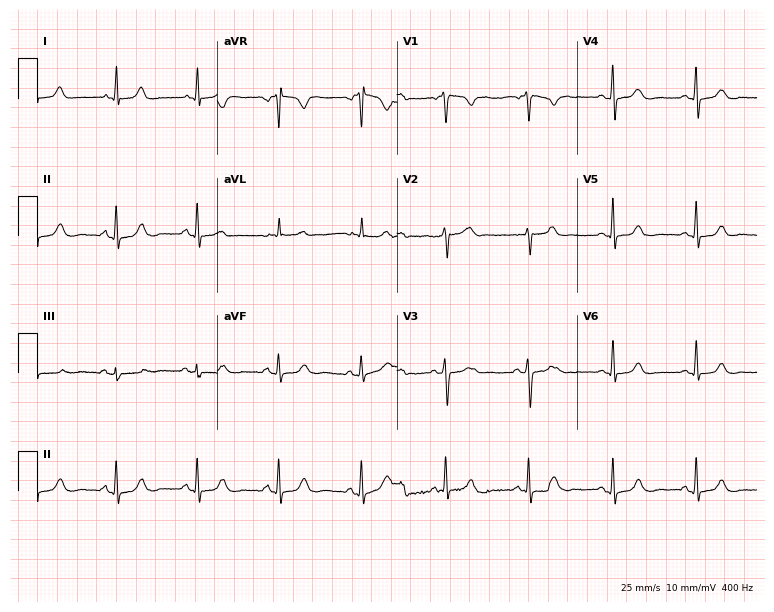
Resting 12-lead electrocardiogram (7.3-second recording at 400 Hz). Patient: a 66-year-old woman. Read as a normal ECG.